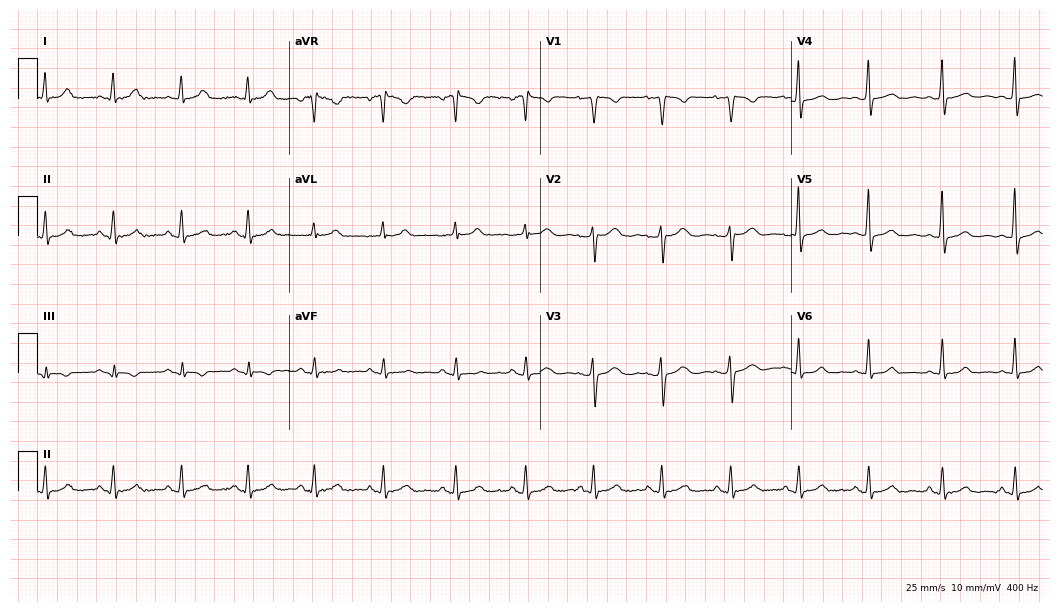
ECG (10.2-second recording at 400 Hz) — a 34-year-old woman. Screened for six findings — first-degree AV block, right bundle branch block, left bundle branch block, sinus bradycardia, atrial fibrillation, sinus tachycardia — none is recorded.